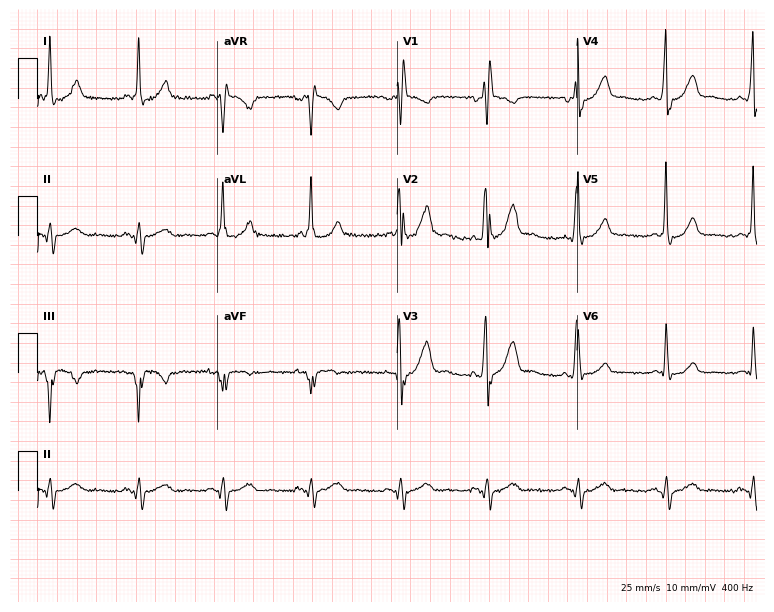
Electrocardiogram (7.3-second recording at 400 Hz), a 42-year-old male. Interpretation includes right bundle branch block.